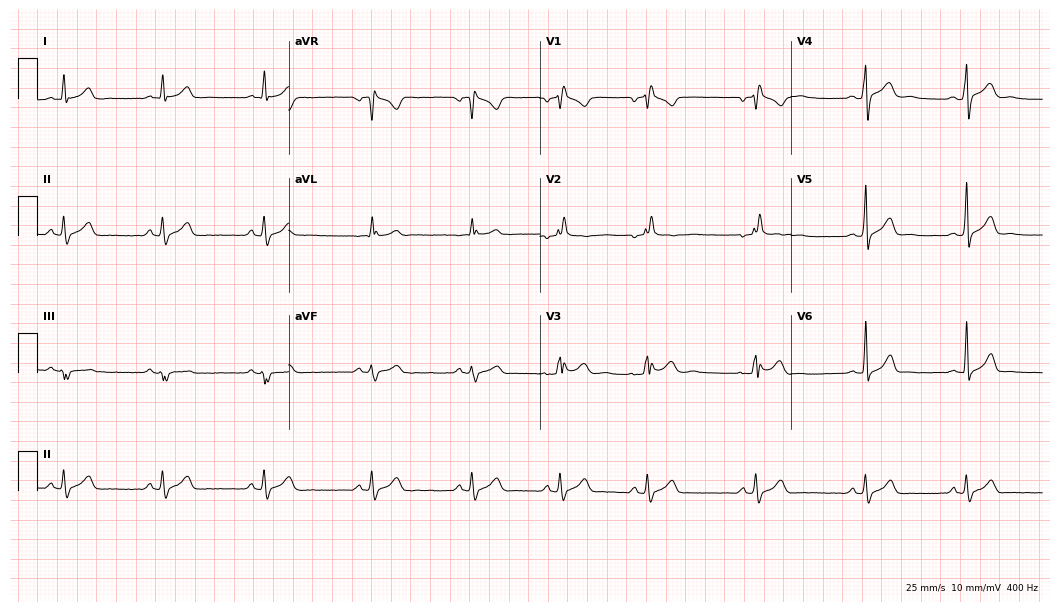
Resting 12-lead electrocardiogram (10.2-second recording at 400 Hz). Patient: a 22-year-old male. The tracing shows right bundle branch block.